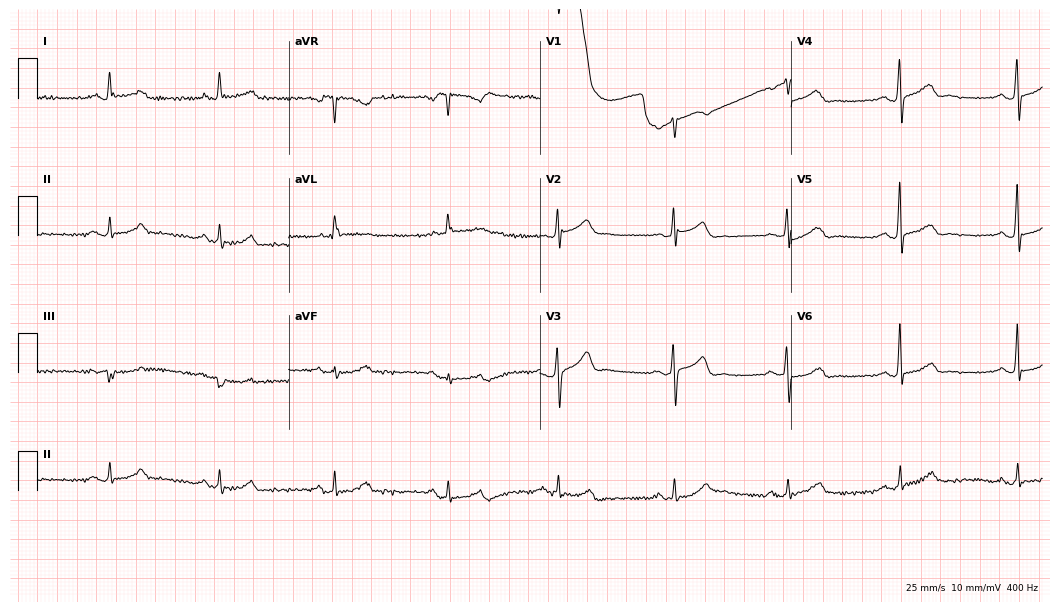
Standard 12-lead ECG recorded from a 58-year-old woman (10.2-second recording at 400 Hz). Read as a normal ECG.